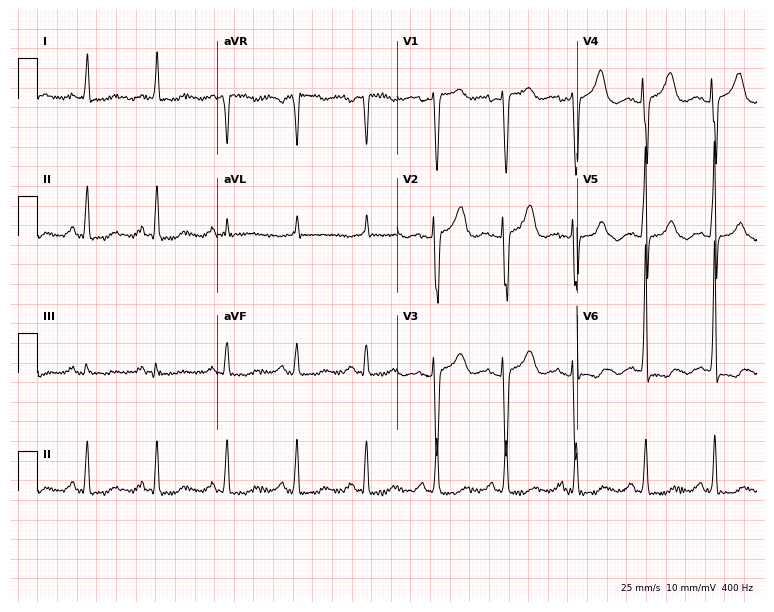
Standard 12-lead ECG recorded from an 84-year-old woman. None of these six findings is recorded: first-degree AV block, right bundle branch block (RBBB), left bundle branch block (LBBB), sinus bradycardia, atrial fibrillation (AF), sinus tachycardia.